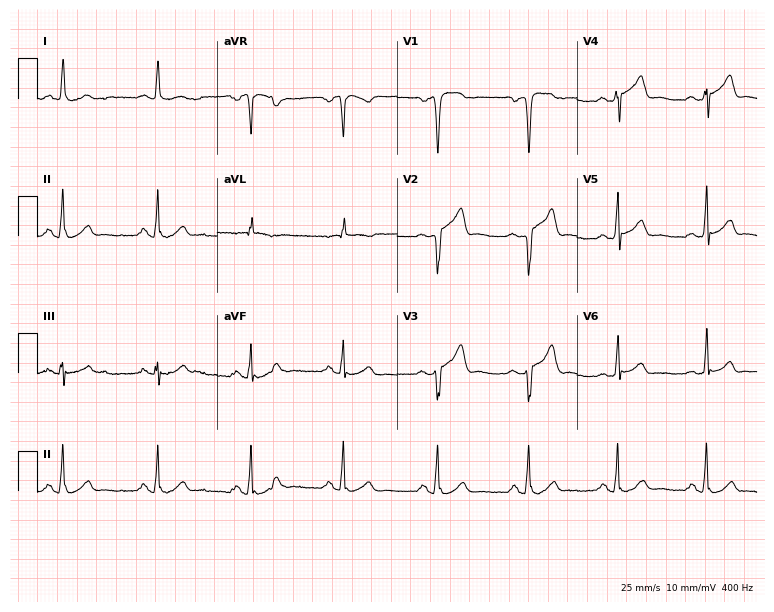
Resting 12-lead electrocardiogram (7.3-second recording at 400 Hz). Patient: a woman, 55 years old. None of these six findings is recorded: first-degree AV block, right bundle branch block, left bundle branch block, sinus bradycardia, atrial fibrillation, sinus tachycardia. Only these six findings were labelled.